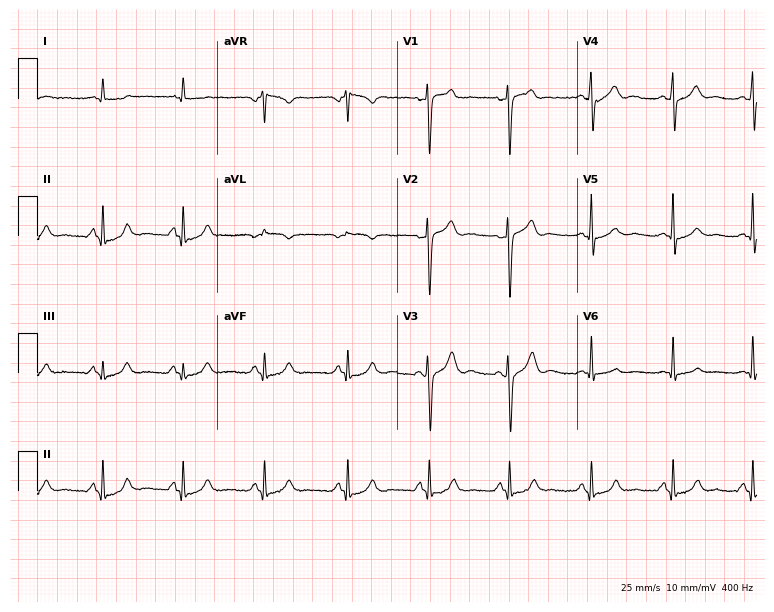
12-lead ECG from a male, 47 years old. Labelled as a normal ECG.